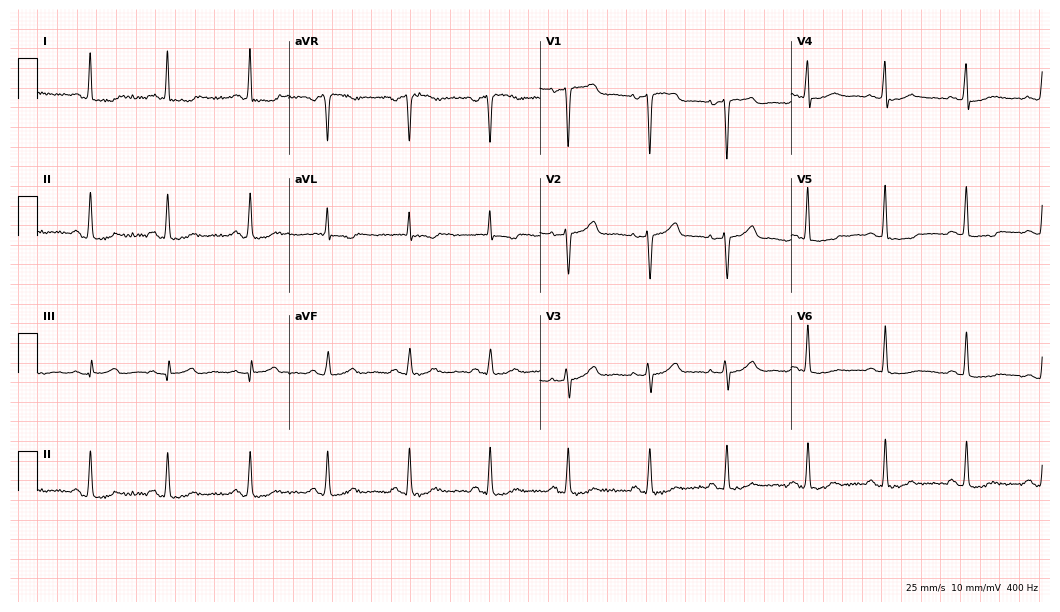
12-lead ECG from a woman, 72 years old (10.2-second recording at 400 Hz). No first-degree AV block, right bundle branch block, left bundle branch block, sinus bradycardia, atrial fibrillation or sinus tachycardia recorded for this tracing. Only these six findings were labelled.